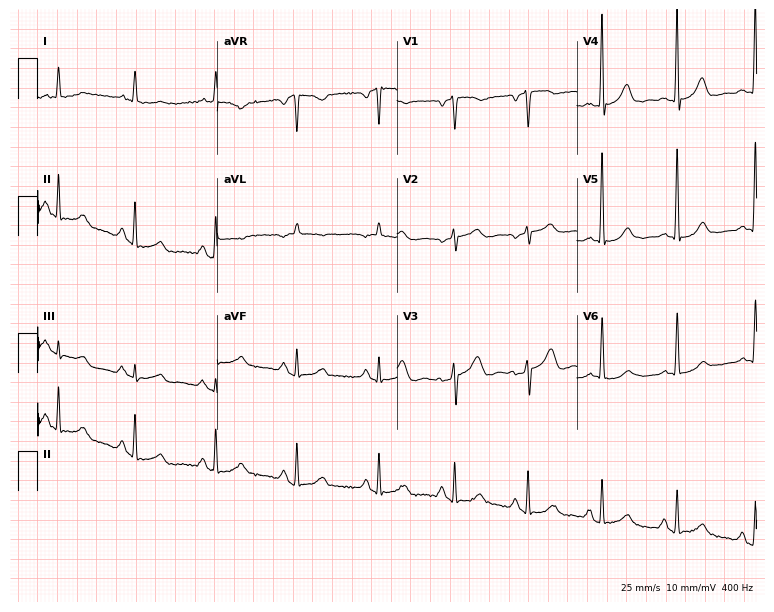
ECG (7.3-second recording at 400 Hz) — a female patient, 64 years old. Screened for six findings — first-degree AV block, right bundle branch block, left bundle branch block, sinus bradycardia, atrial fibrillation, sinus tachycardia — none is recorded.